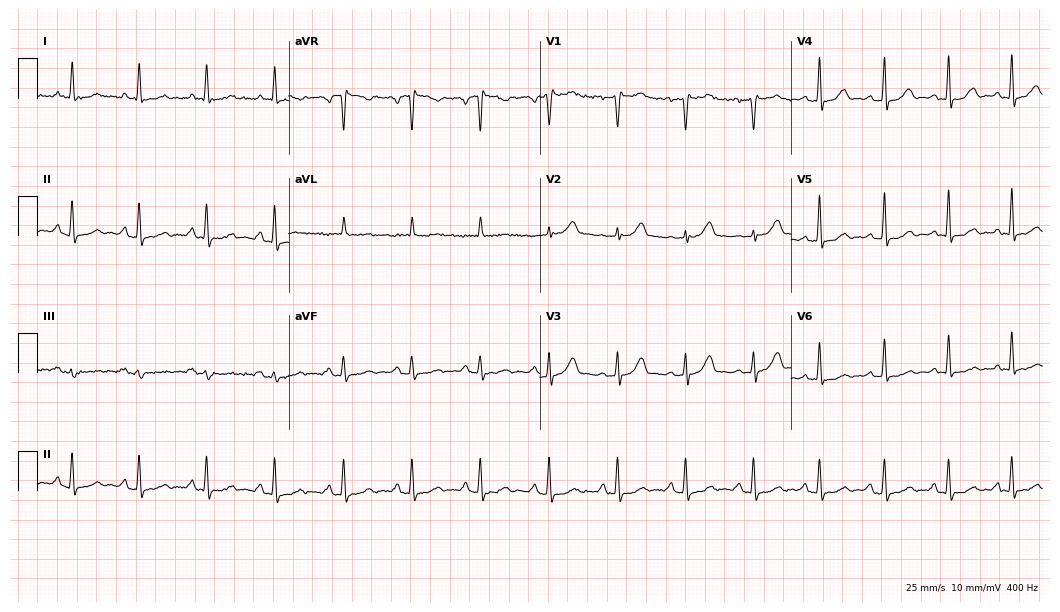
Standard 12-lead ECG recorded from a 78-year-old man. None of these six findings is recorded: first-degree AV block, right bundle branch block, left bundle branch block, sinus bradycardia, atrial fibrillation, sinus tachycardia. Other findings, if any, are not listed.